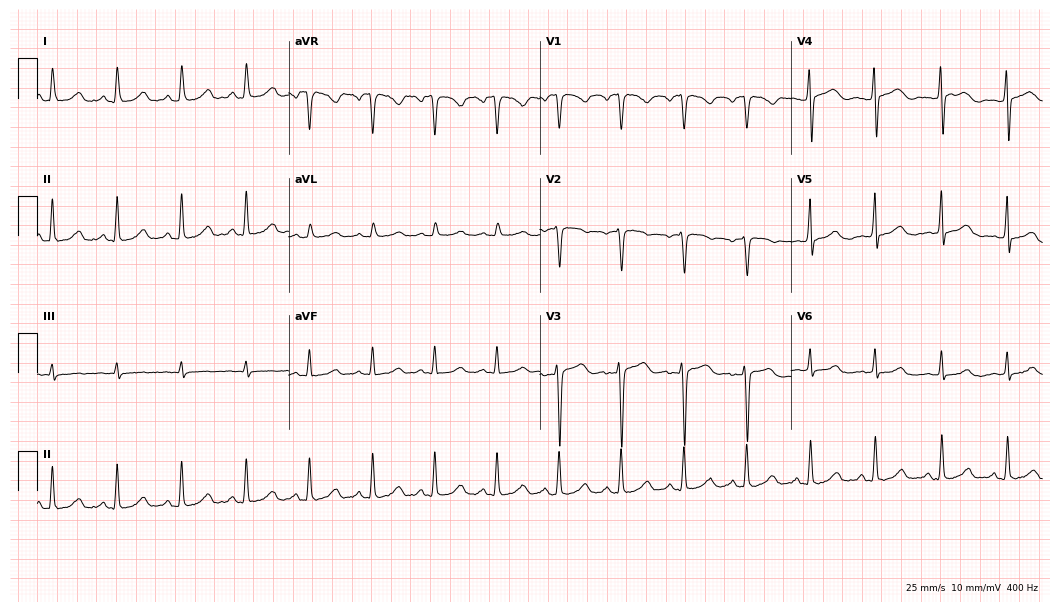
ECG (10.2-second recording at 400 Hz) — a 33-year-old female patient. Labelled as a normal ECG.